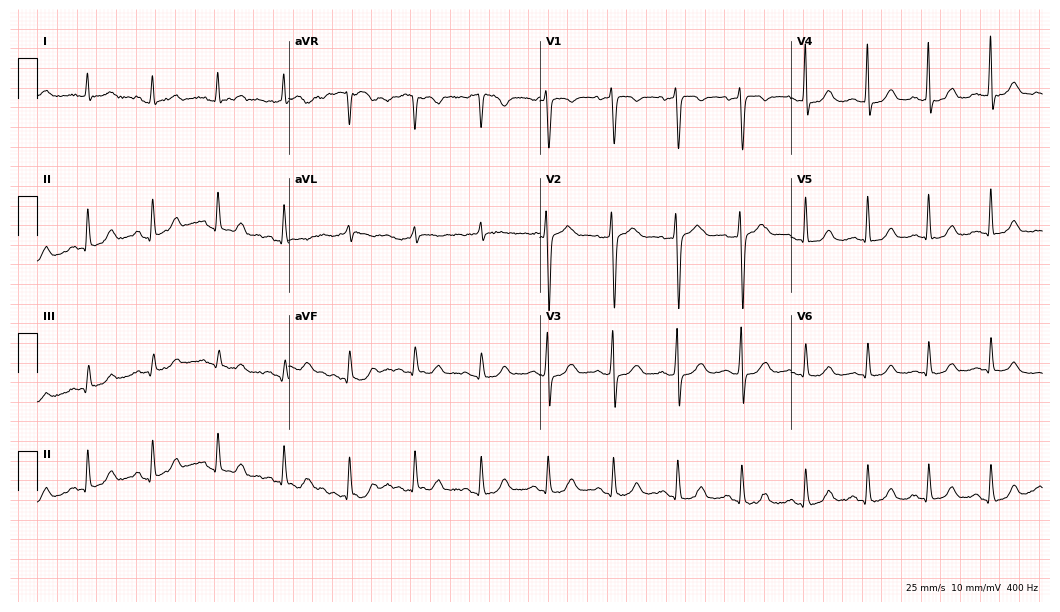
12-lead ECG (10.2-second recording at 400 Hz) from a 59-year-old male patient. Labelled as a normal ECG.